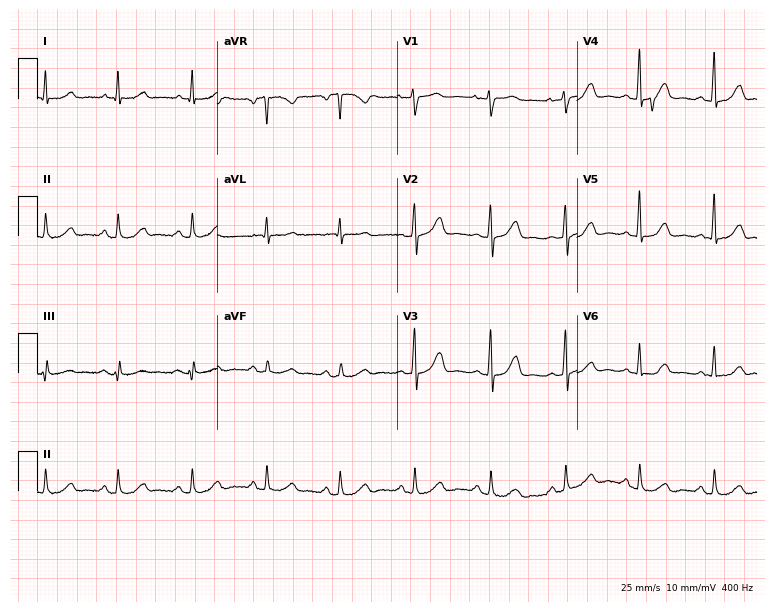
Standard 12-lead ECG recorded from a woman, 53 years old (7.3-second recording at 400 Hz). None of these six findings is recorded: first-degree AV block, right bundle branch block, left bundle branch block, sinus bradycardia, atrial fibrillation, sinus tachycardia.